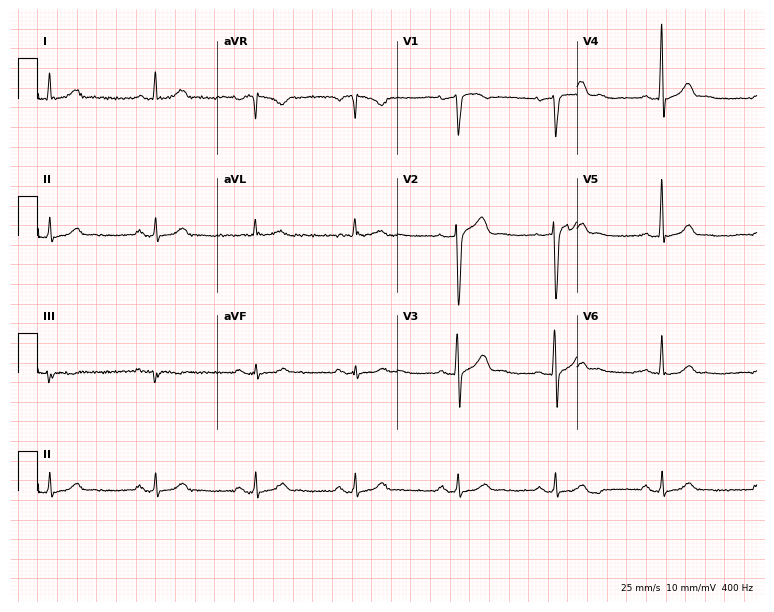
Electrocardiogram (7.3-second recording at 400 Hz), a 64-year-old male patient. Overall reading on record: normal ECG.